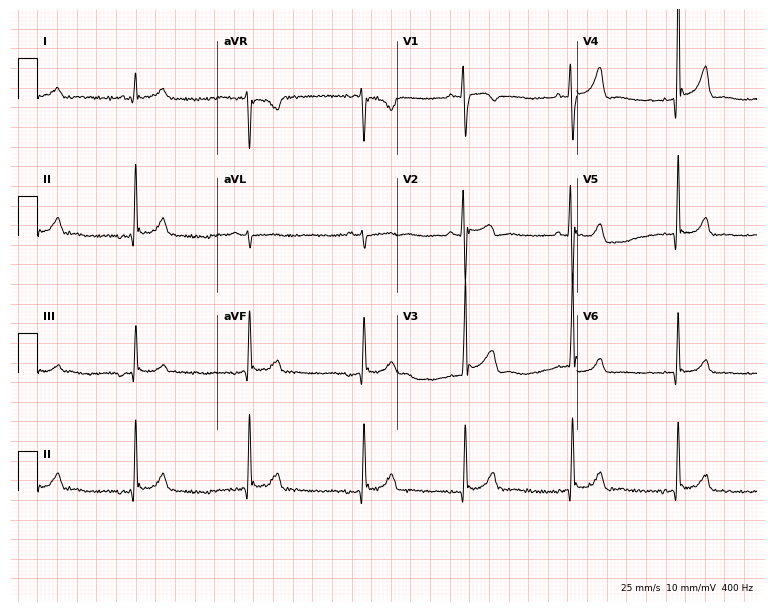
Electrocardiogram (7.3-second recording at 400 Hz), a male, 23 years old. Of the six screened findings (first-degree AV block, right bundle branch block (RBBB), left bundle branch block (LBBB), sinus bradycardia, atrial fibrillation (AF), sinus tachycardia), none is recorded. Other findings, if any, are not listed.